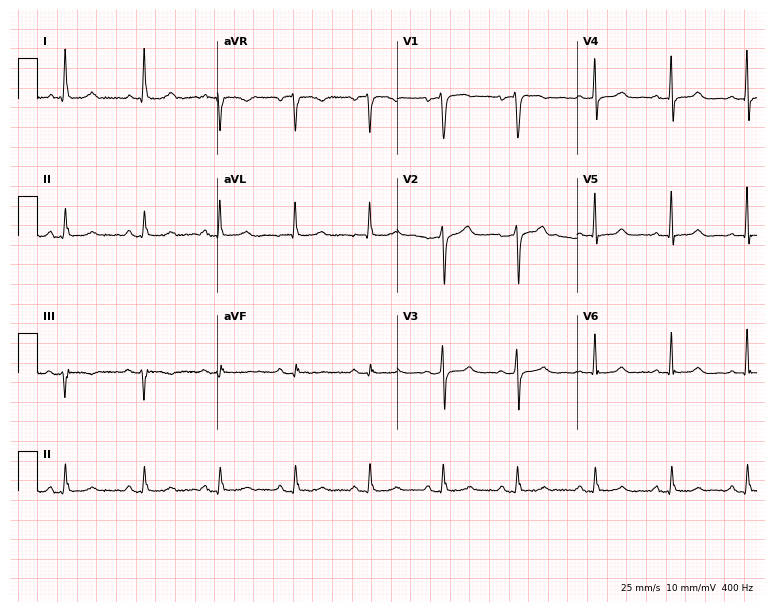
ECG — a 50-year-old female patient. Screened for six findings — first-degree AV block, right bundle branch block, left bundle branch block, sinus bradycardia, atrial fibrillation, sinus tachycardia — none is recorded. Findings outside these six are not listed.